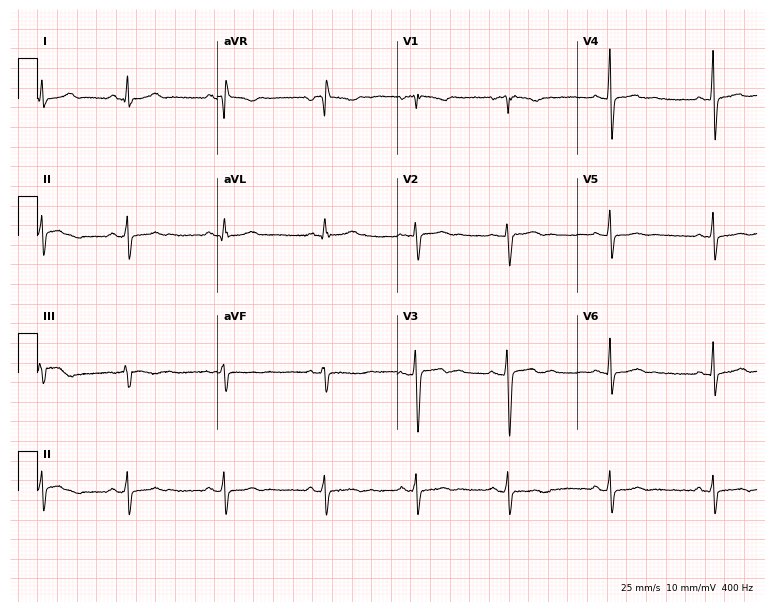
Electrocardiogram (7.3-second recording at 400 Hz), a 20-year-old woman. Of the six screened findings (first-degree AV block, right bundle branch block (RBBB), left bundle branch block (LBBB), sinus bradycardia, atrial fibrillation (AF), sinus tachycardia), none is recorded. Only these six findings were labelled.